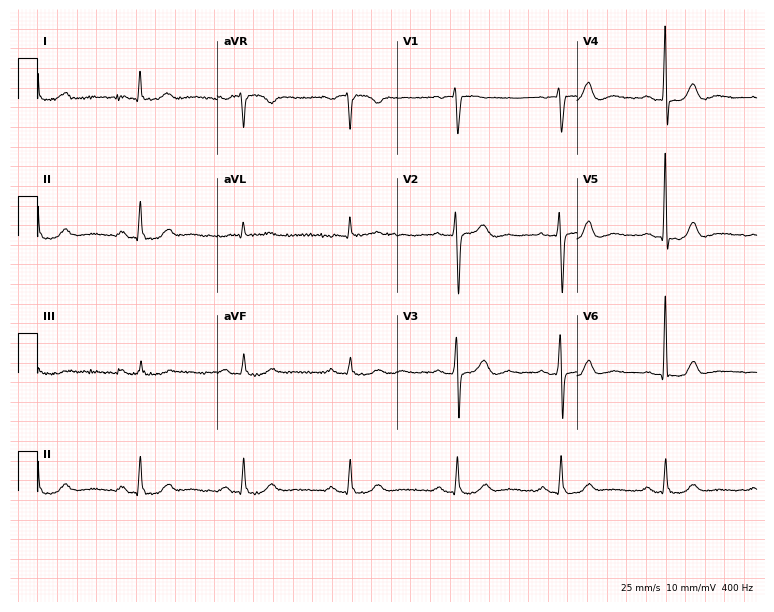
12-lead ECG from a man, 68 years old. Recorded interpretation: within normal limits.